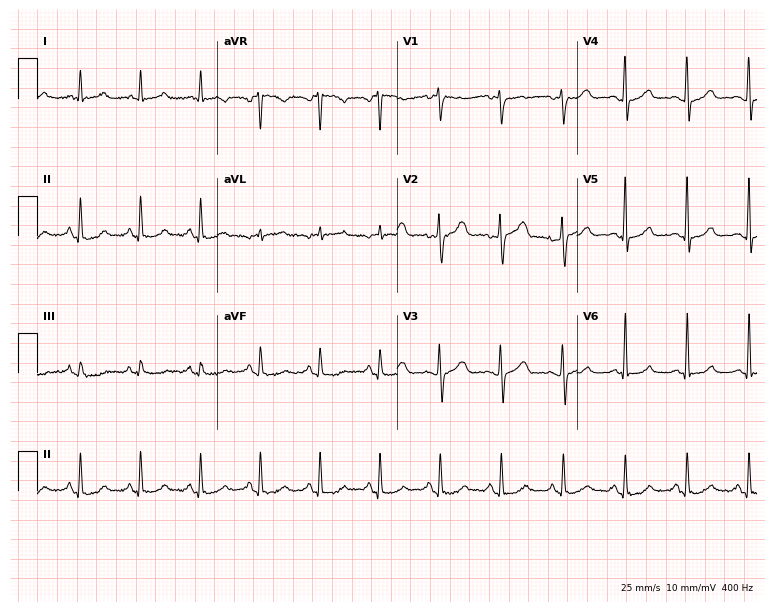
12-lead ECG (7.3-second recording at 400 Hz) from a 44-year-old female. Labelled as a normal ECG.